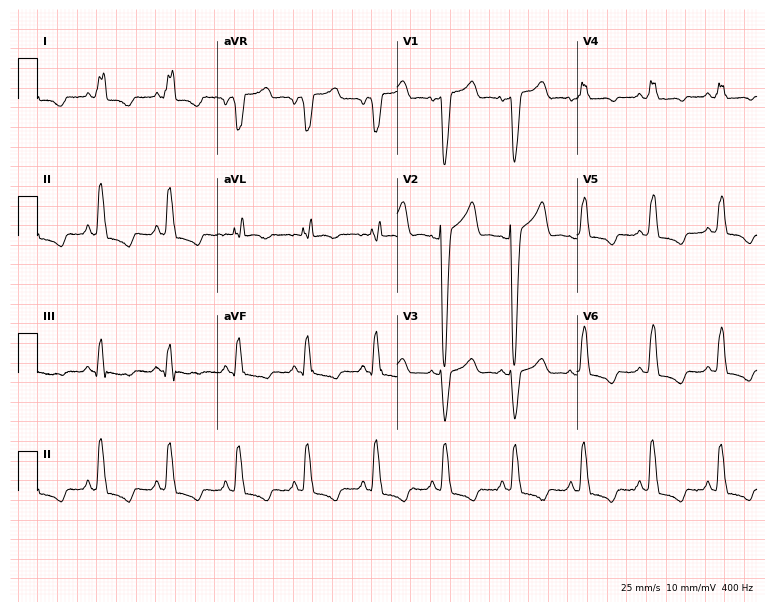
ECG (7.3-second recording at 400 Hz) — an 87-year-old female. Findings include left bundle branch block (LBBB).